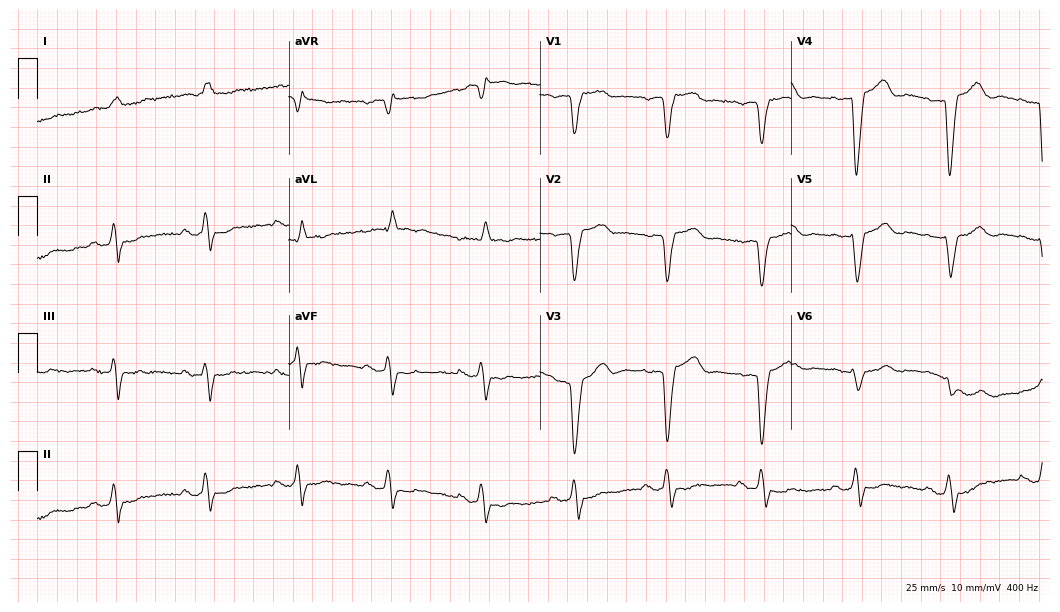
Resting 12-lead electrocardiogram. Patient: an 83-year-old female. The tracing shows left bundle branch block.